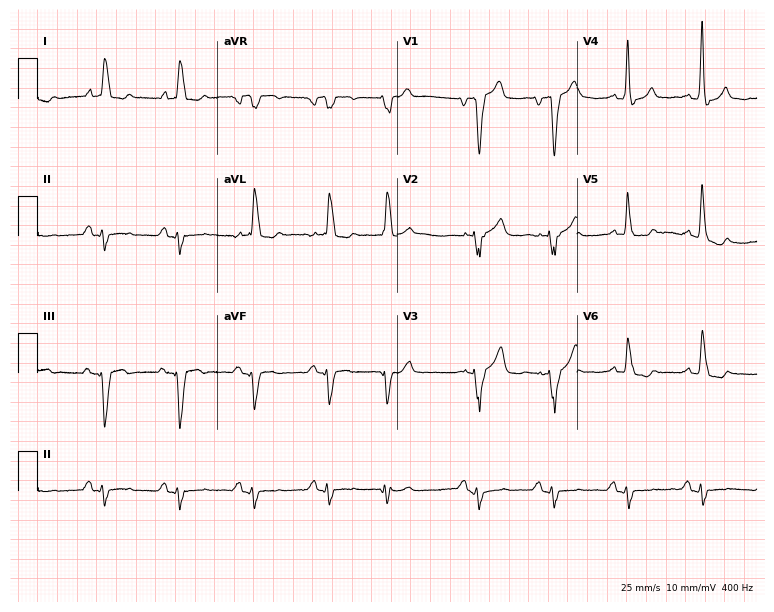
Electrocardiogram, a 76-year-old male patient. Of the six screened findings (first-degree AV block, right bundle branch block, left bundle branch block, sinus bradycardia, atrial fibrillation, sinus tachycardia), none is recorded.